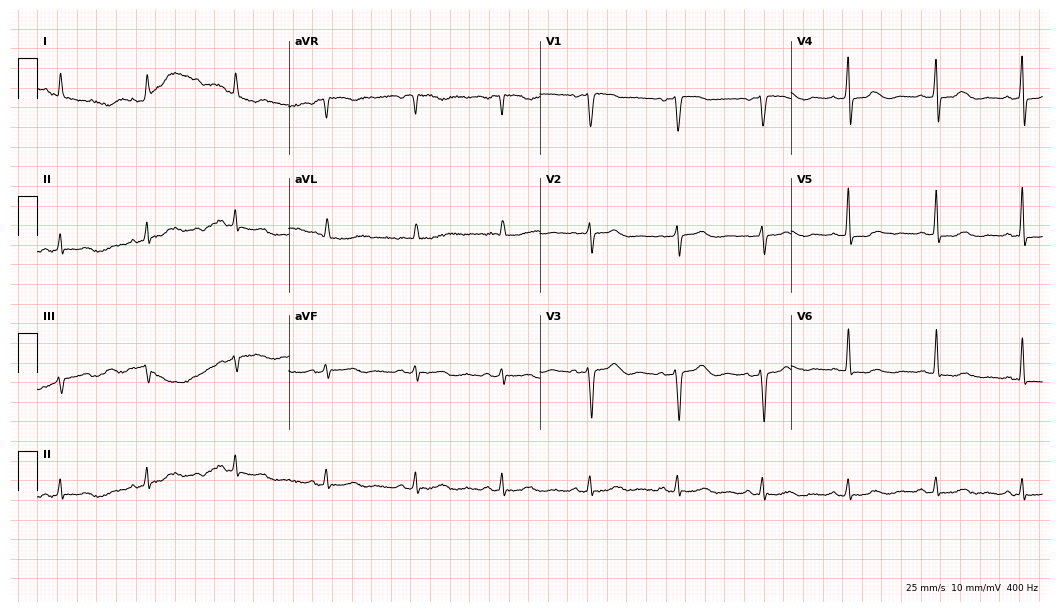
Electrocardiogram, a woman, 74 years old. Overall reading on record: normal ECG.